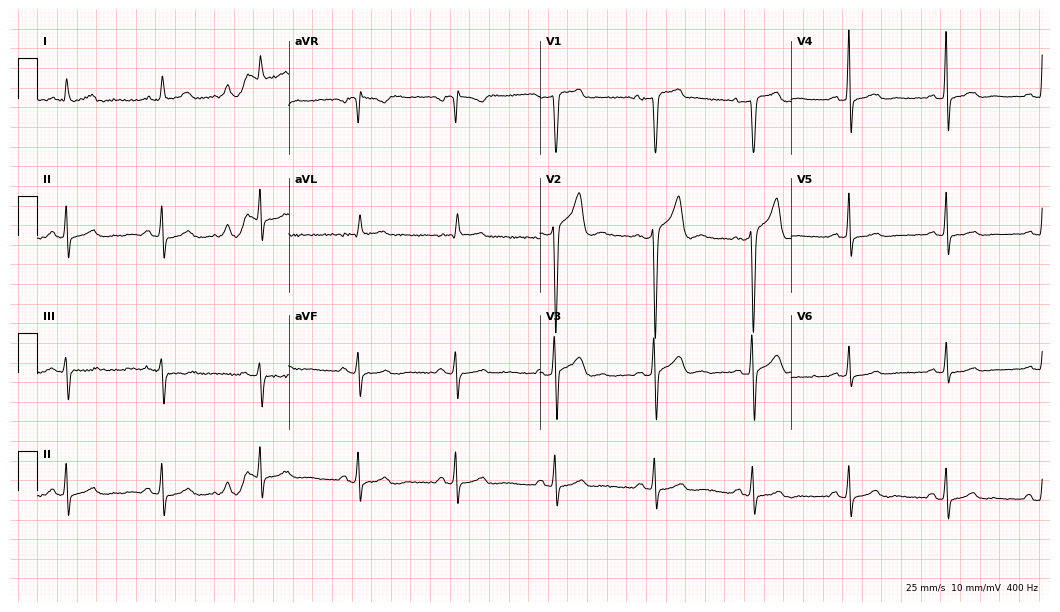
Standard 12-lead ECG recorded from a male, 44 years old. None of these six findings is recorded: first-degree AV block, right bundle branch block, left bundle branch block, sinus bradycardia, atrial fibrillation, sinus tachycardia. Findings outside these six are not listed.